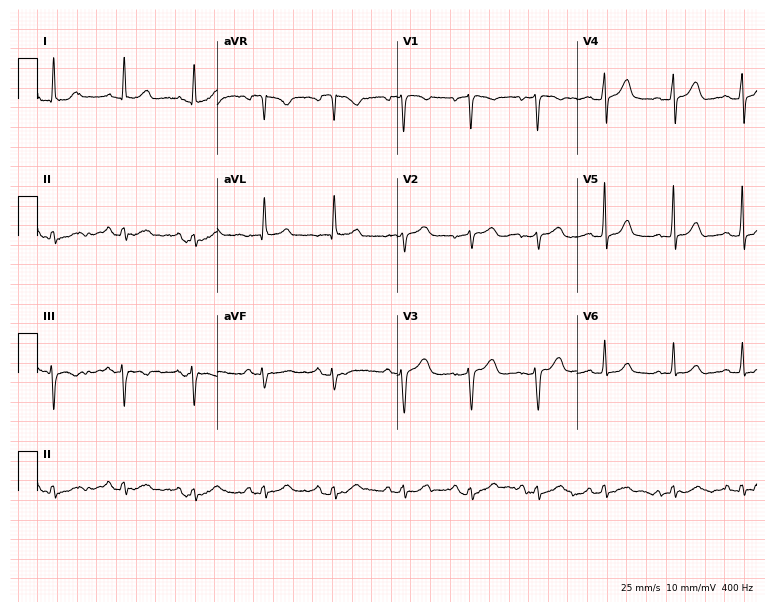
12-lead ECG from a female, 49 years old (7.3-second recording at 400 Hz). Recorded interpretation: within normal limits.